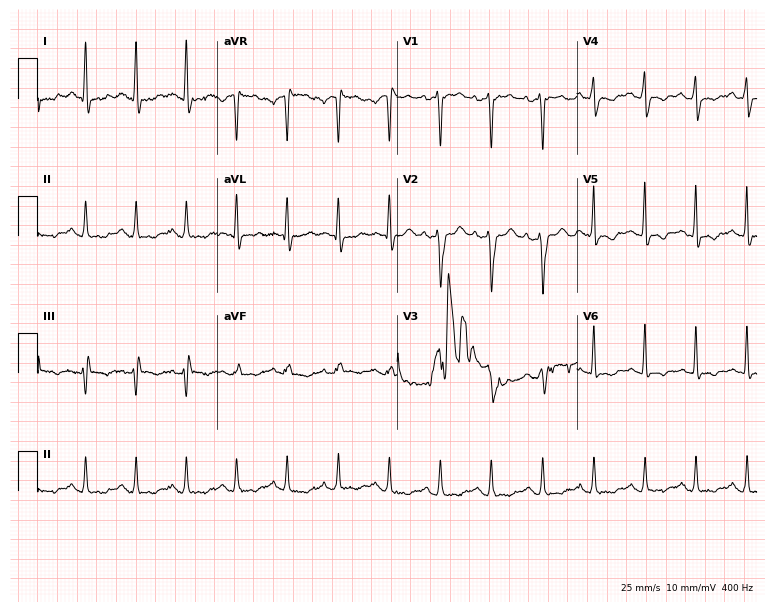
Standard 12-lead ECG recorded from a 35-year-old male patient (7.3-second recording at 400 Hz). None of these six findings is recorded: first-degree AV block, right bundle branch block, left bundle branch block, sinus bradycardia, atrial fibrillation, sinus tachycardia. Other findings, if any, are not listed.